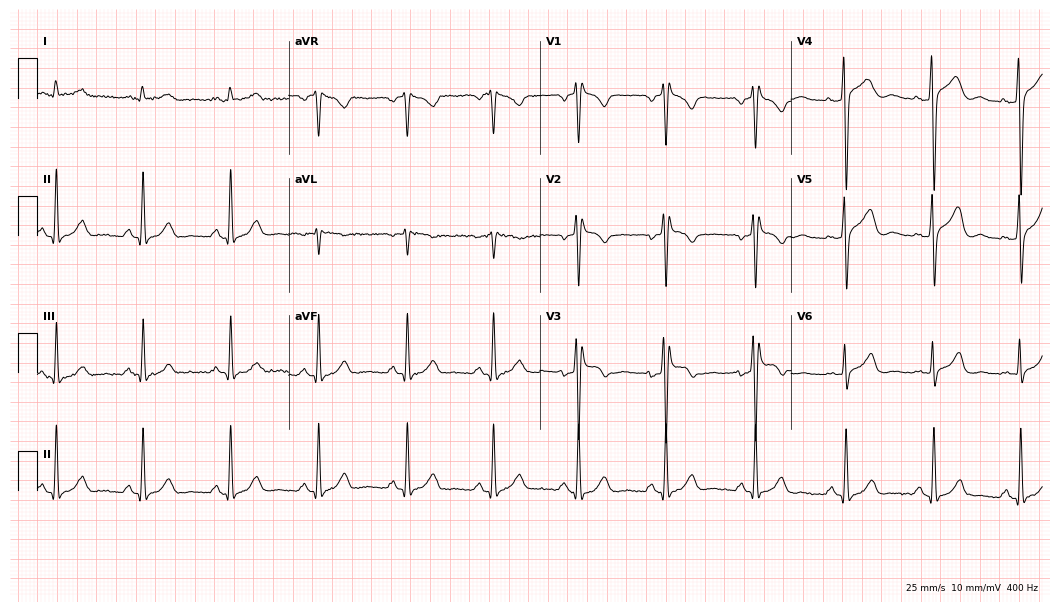
Standard 12-lead ECG recorded from a 40-year-old man (10.2-second recording at 400 Hz). None of these six findings is recorded: first-degree AV block, right bundle branch block (RBBB), left bundle branch block (LBBB), sinus bradycardia, atrial fibrillation (AF), sinus tachycardia.